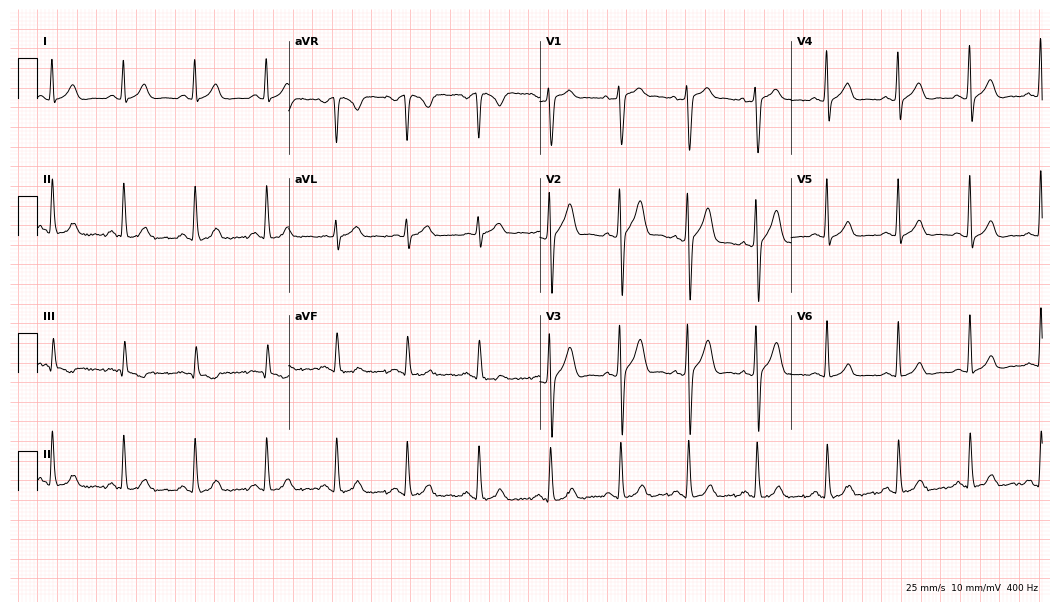
12-lead ECG from a man, 37 years old (10.2-second recording at 400 Hz). Recorded interpretation: within normal limits.